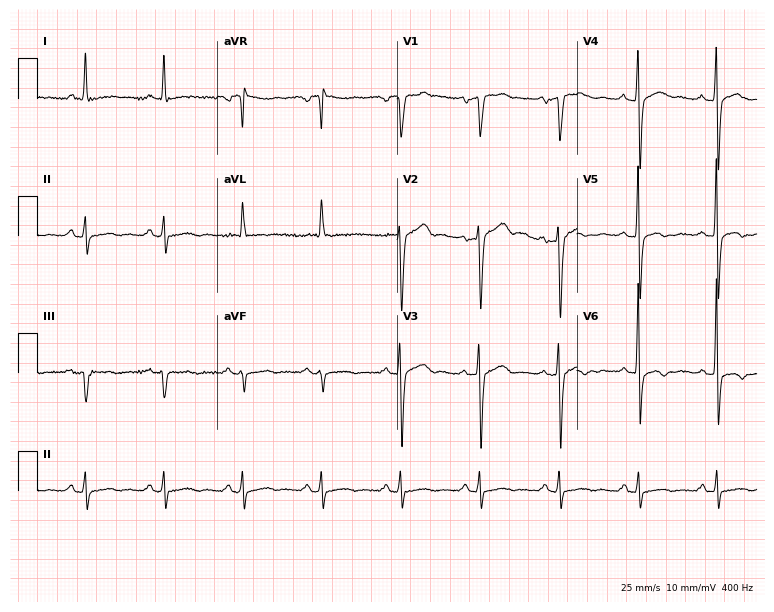
ECG (7.3-second recording at 400 Hz) — a 47-year-old male patient. Screened for six findings — first-degree AV block, right bundle branch block, left bundle branch block, sinus bradycardia, atrial fibrillation, sinus tachycardia — none is recorded.